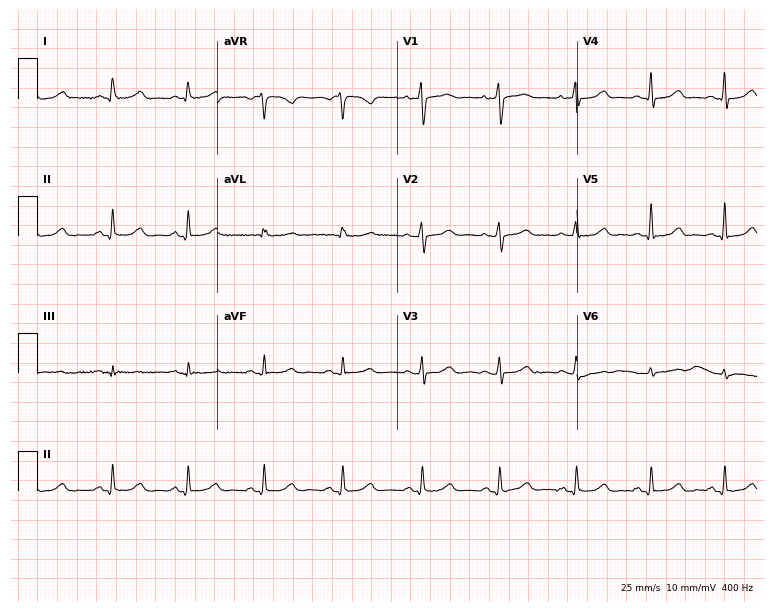
Electrocardiogram, a 47-year-old female patient. Overall reading on record: normal ECG.